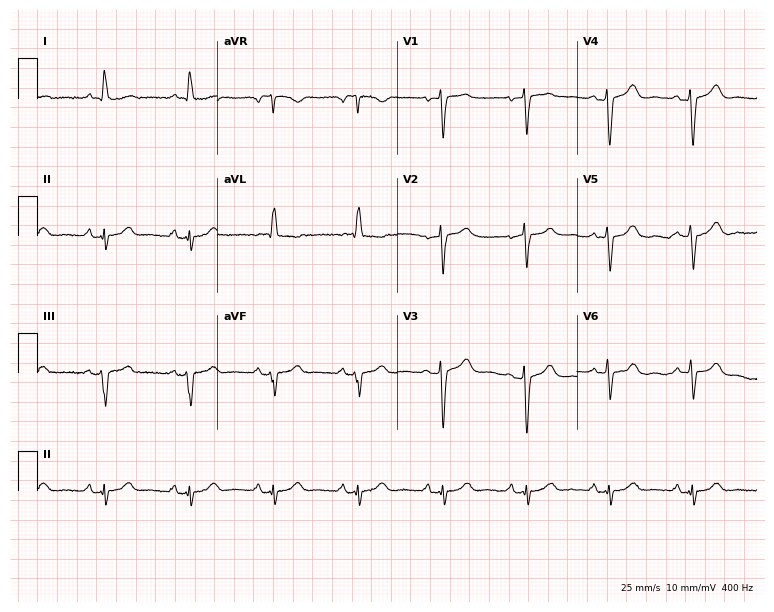
Standard 12-lead ECG recorded from a 79-year-old female patient (7.3-second recording at 400 Hz). None of these six findings is recorded: first-degree AV block, right bundle branch block, left bundle branch block, sinus bradycardia, atrial fibrillation, sinus tachycardia.